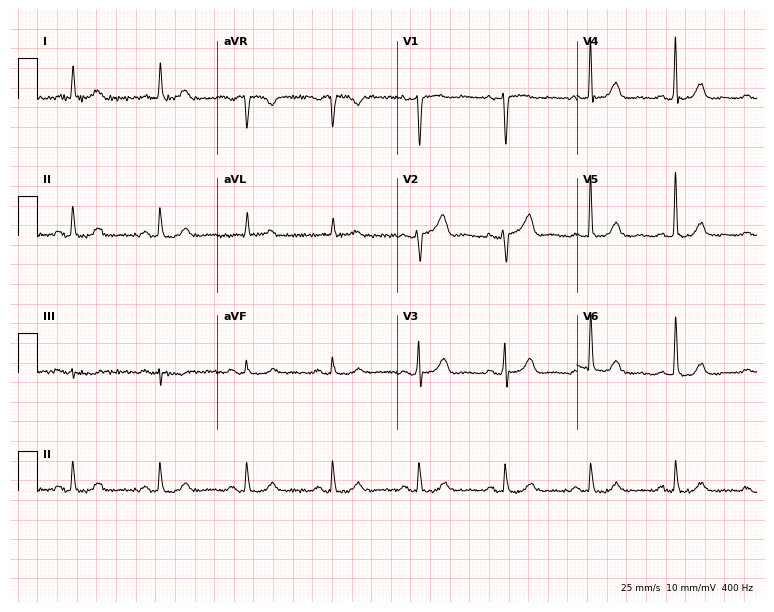
12-lead ECG (7.3-second recording at 400 Hz) from a 77-year-old male patient. Screened for six findings — first-degree AV block, right bundle branch block, left bundle branch block, sinus bradycardia, atrial fibrillation, sinus tachycardia — none is recorded.